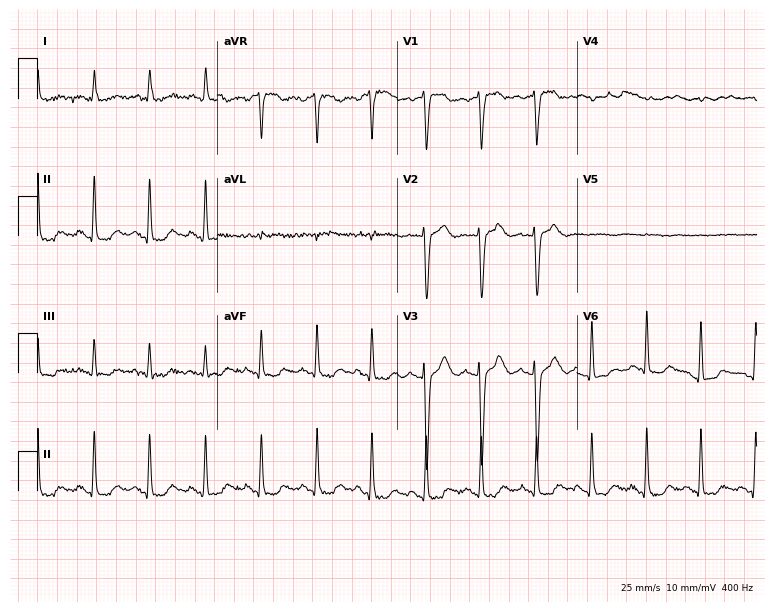
12-lead ECG from a 67-year-old female patient. Screened for six findings — first-degree AV block, right bundle branch block, left bundle branch block, sinus bradycardia, atrial fibrillation, sinus tachycardia — none is recorded.